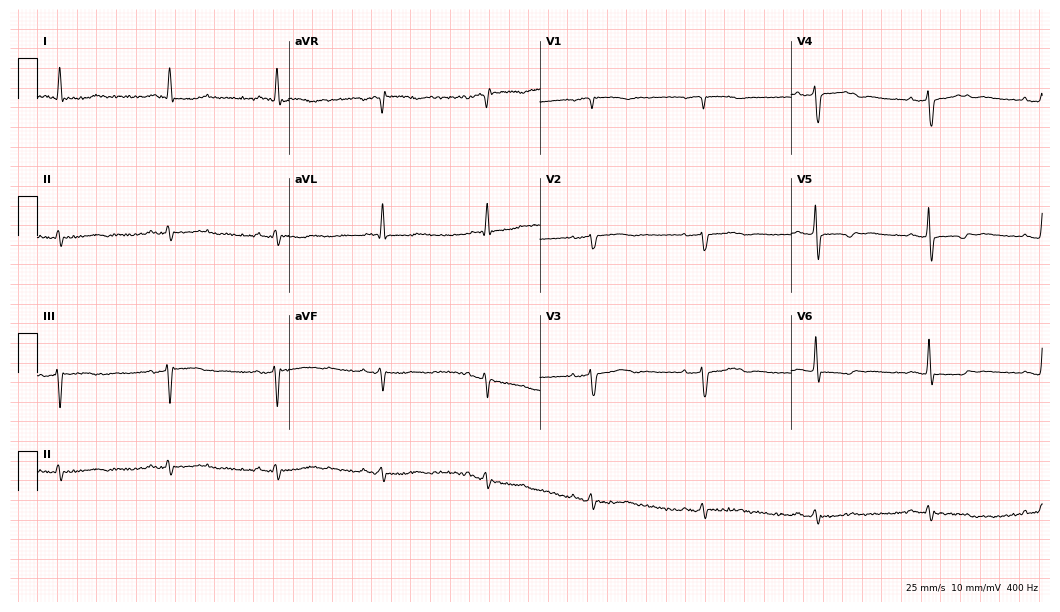
ECG (10.2-second recording at 400 Hz) — an 85-year-old woman. Screened for six findings — first-degree AV block, right bundle branch block, left bundle branch block, sinus bradycardia, atrial fibrillation, sinus tachycardia — none is recorded. Only these six findings were labelled.